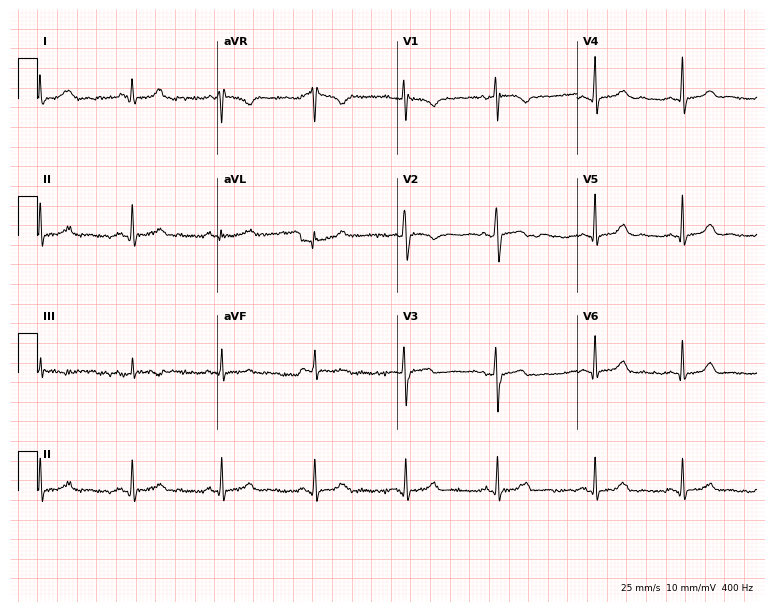
Standard 12-lead ECG recorded from a 33-year-old woman. None of these six findings is recorded: first-degree AV block, right bundle branch block, left bundle branch block, sinus bradycardia, atrial fibrillation, sinus tachycardia.